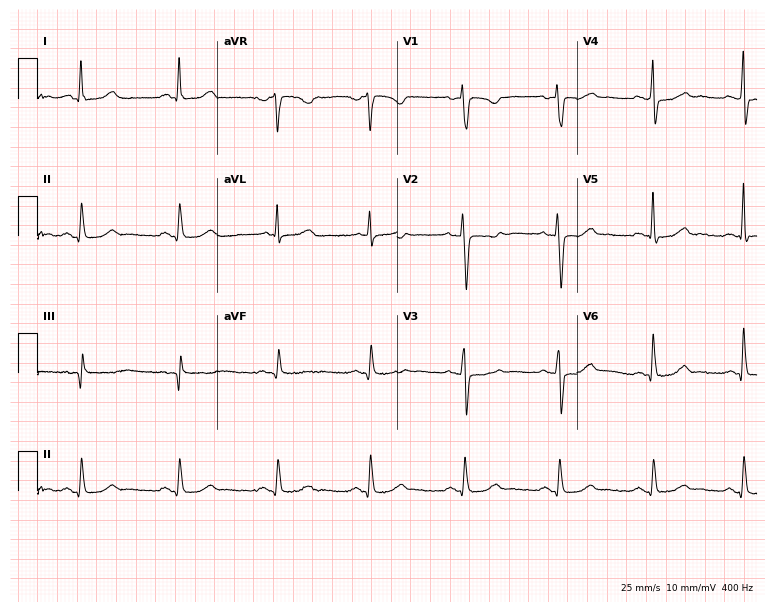
12-lead ECG from a 51-year-old female patient (7.3-second recording at 400 Hz). No first-degree AV block, right bundle branch block, left bundle branch block, sinus bradycardia, atrial fibrillation or sinus tachycardia recorded for this tracing. Findings outside these six are not listed.